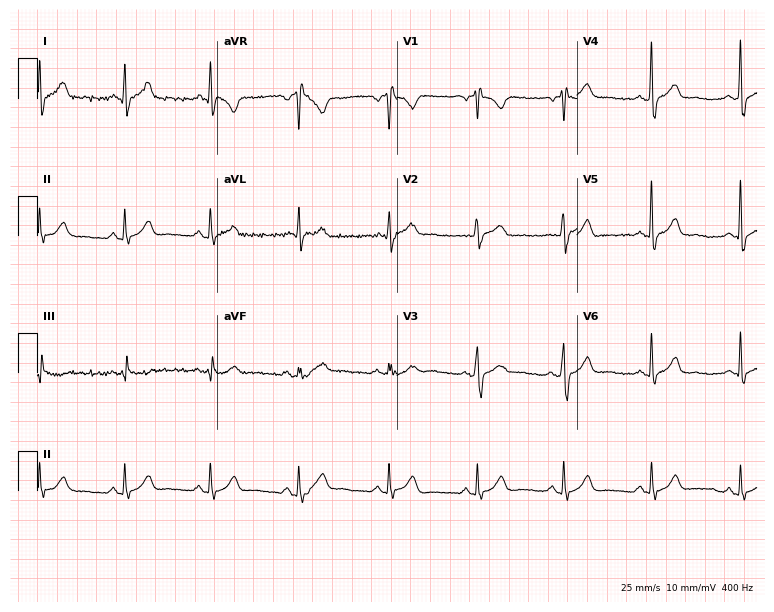
12-lead ECG (7.3-second recording at 400 Hz) from a 48-year-old male patient. Labelled as a normal ECG.